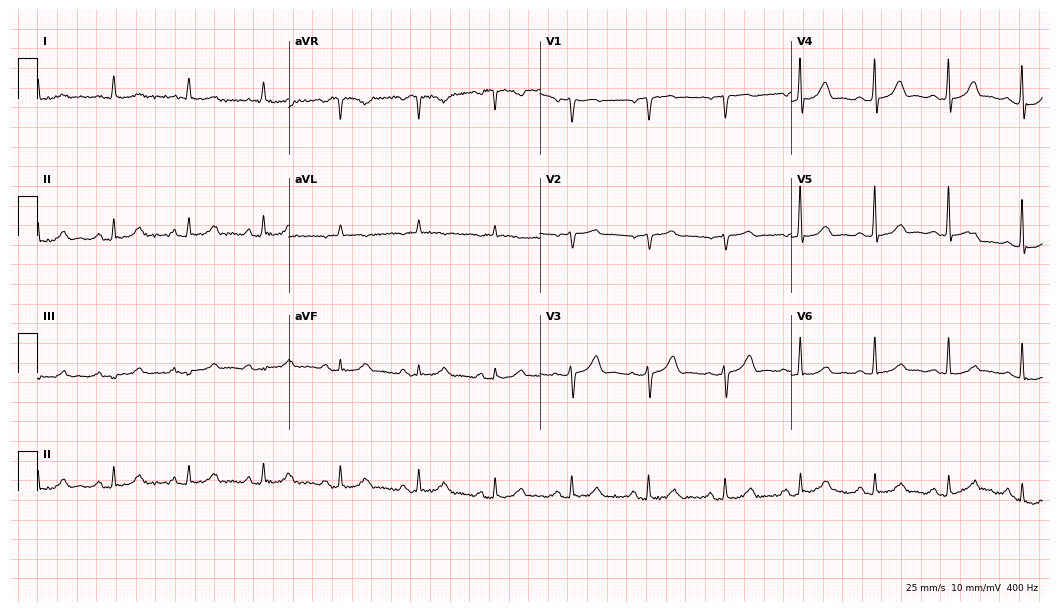
ECG — a female, 77 years old. Labelled as a normal ECG.